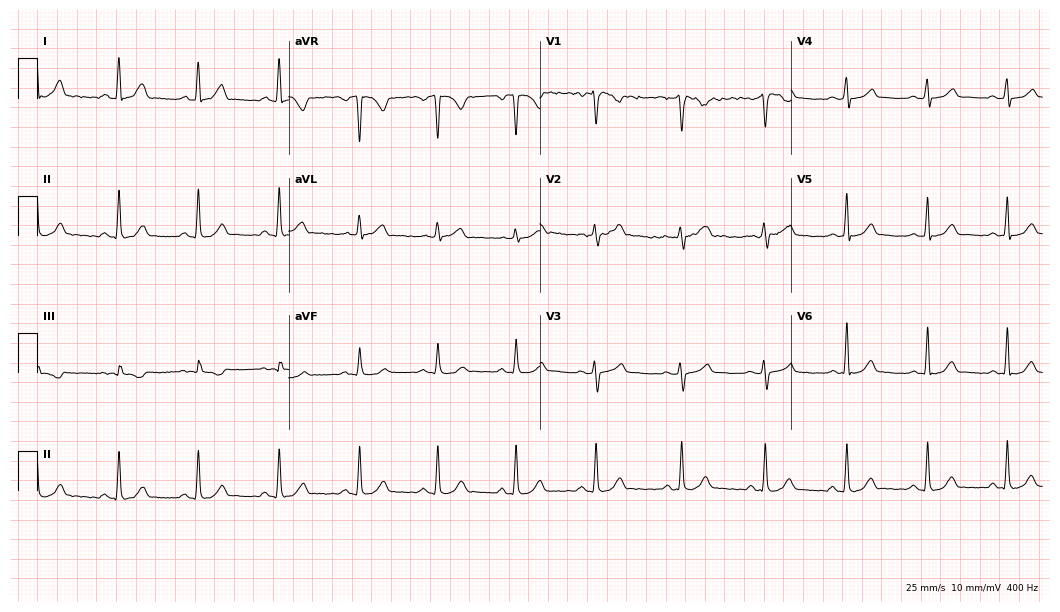
ECG (10.2-second recording at 400 Hz) — a 35-year-old woman. Labelled as a normal ECG.